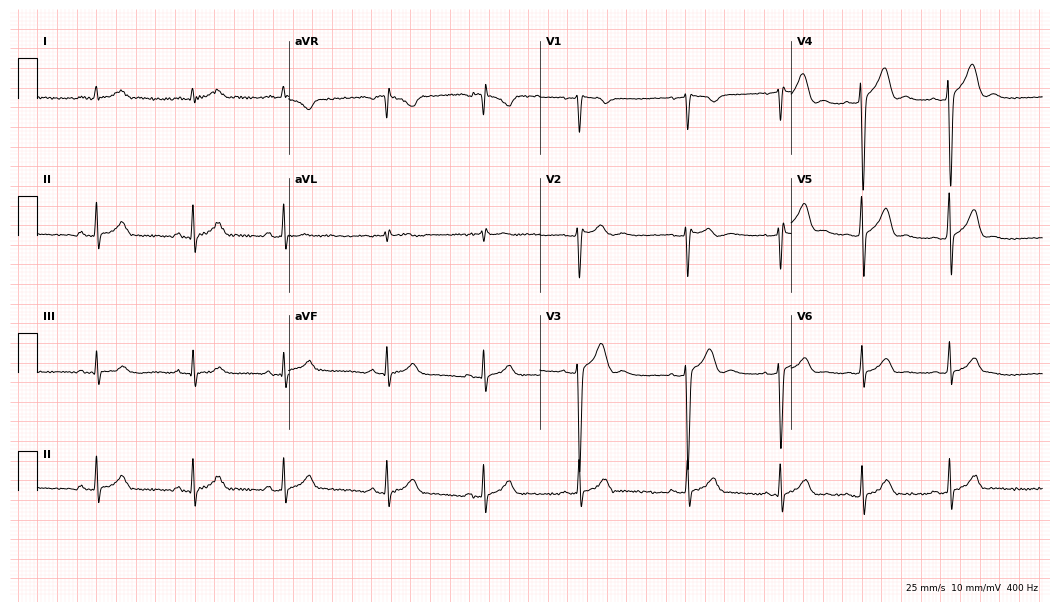
ECG (10.2-second recording at 400 Hz) — a 20-year-old male. Screened for six findings — first-degree AV block, right bundle branch block, left bundle branch block, sinus bradycardia, atrial fibrillation, sinus tachycardia — none is recorded. Other findings, if any, are not listed.